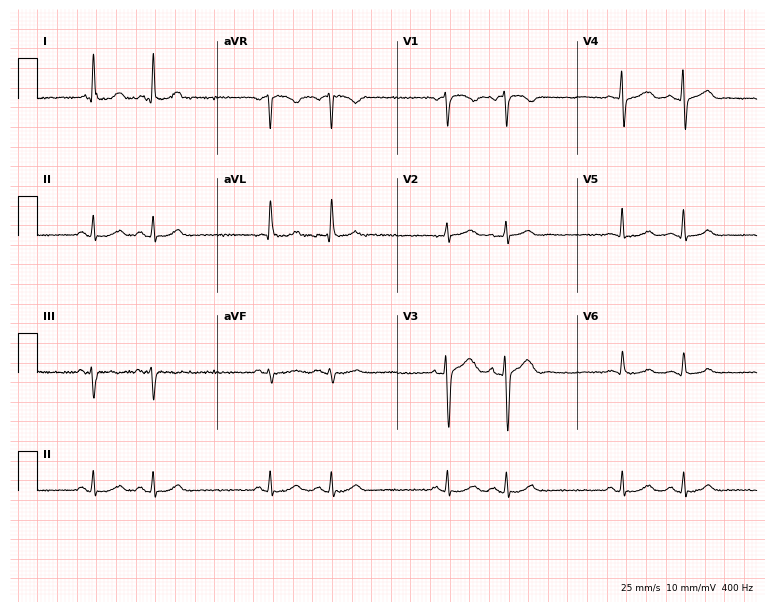
ECG — a 65-year-old man. Screened for six findings — first-degree AV block, right bundle branch block (RBBB), left bundle branch block (LBBB), sinus bradycardia, atrial fibrillation (AF), sinus tachycardia — none is recorded.